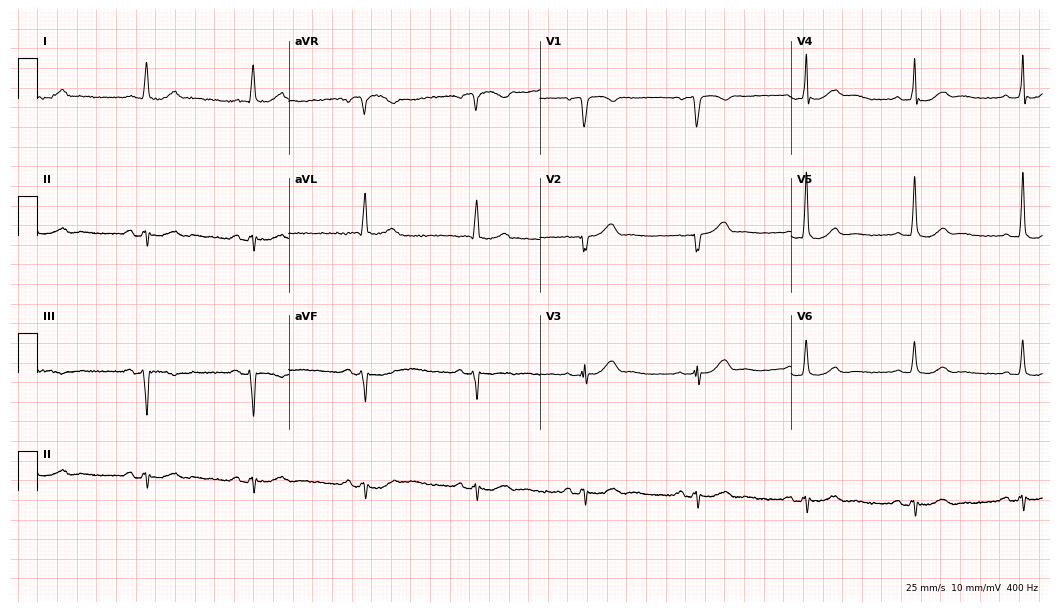
12-lead ECG from a male patient, 78 years old (10.2-second recording at 400 Hz). No first-degree AV block, right bundle branch block, left bundle branch block, sinus bradycardia, atrial fibrillation or sinus tachycardia recorded for this tracing. Findings outside these six are not listed.